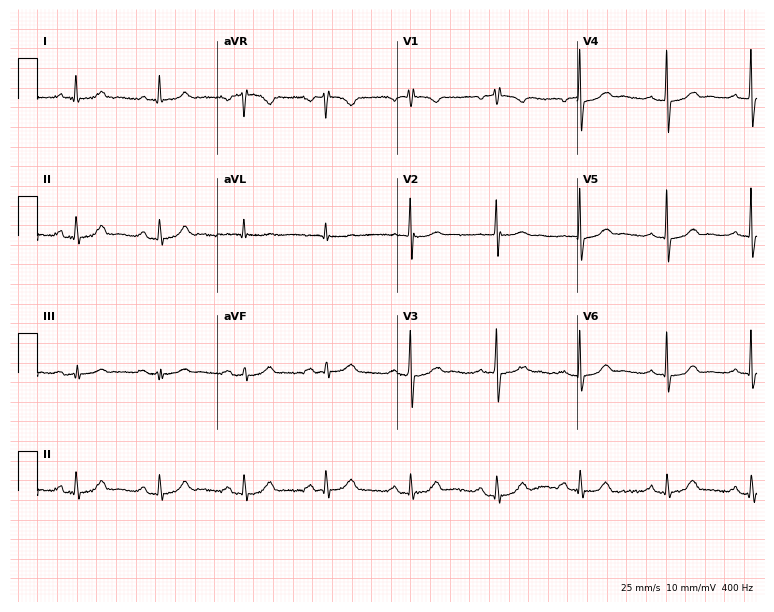
12-lead ECG from a 61-year-old female (7.3-second recording at 400 Hz). Recorded interpretation: within normal limits.